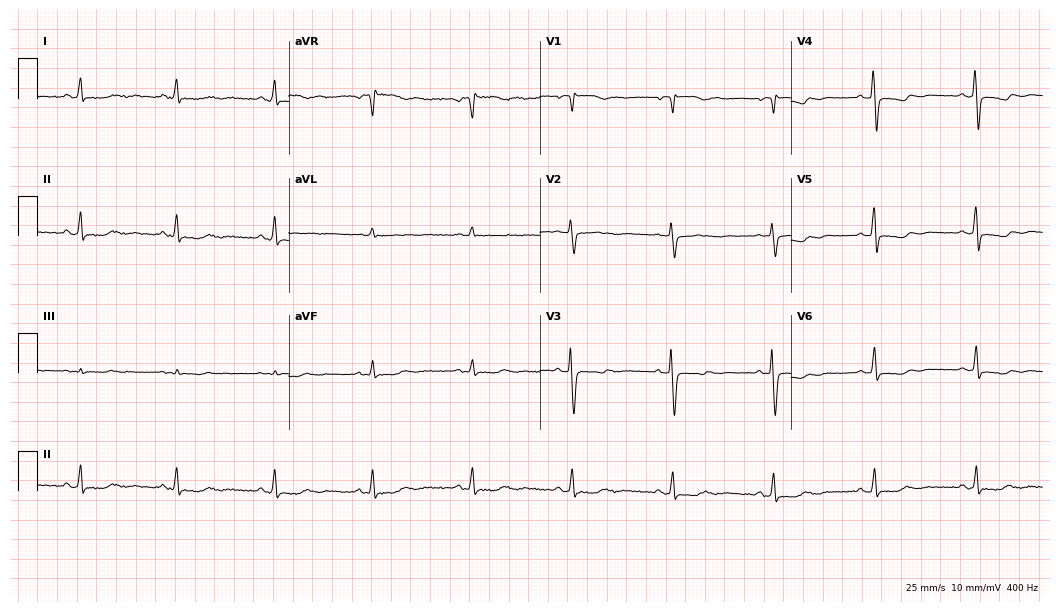
Standard 12-lead ECG recorded from a 73-year-old female patient. None of these six findings is recorded: first-degree AV block, right bundle branch block, left bundle branch block, sinus bradycardia, atrial fibrillation, sinus tachycardia. Findings outside these six are not listed.